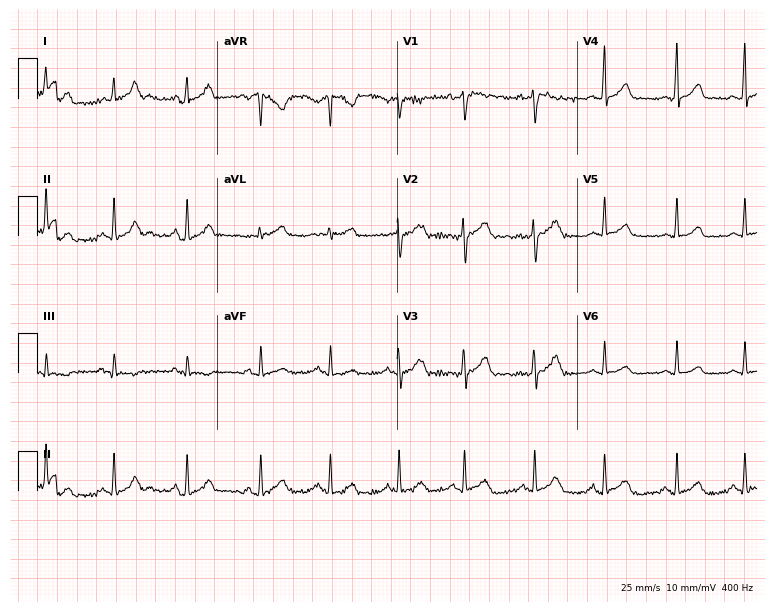
ECG (7.3-second recording at 400 Hz) — a woman, 39 years old. Labelled as a normal ECG.